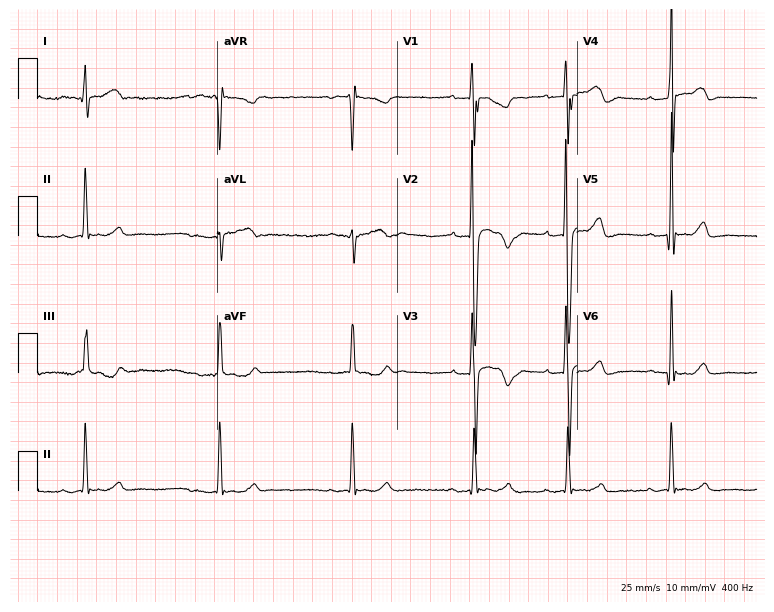
12-lead ECG from a 20-year-old male patient (7.3-second recording at 400 Hz). Shows first-degree AV block, sinus bradycardia (a sinus rate of 50 beats per minute or less).